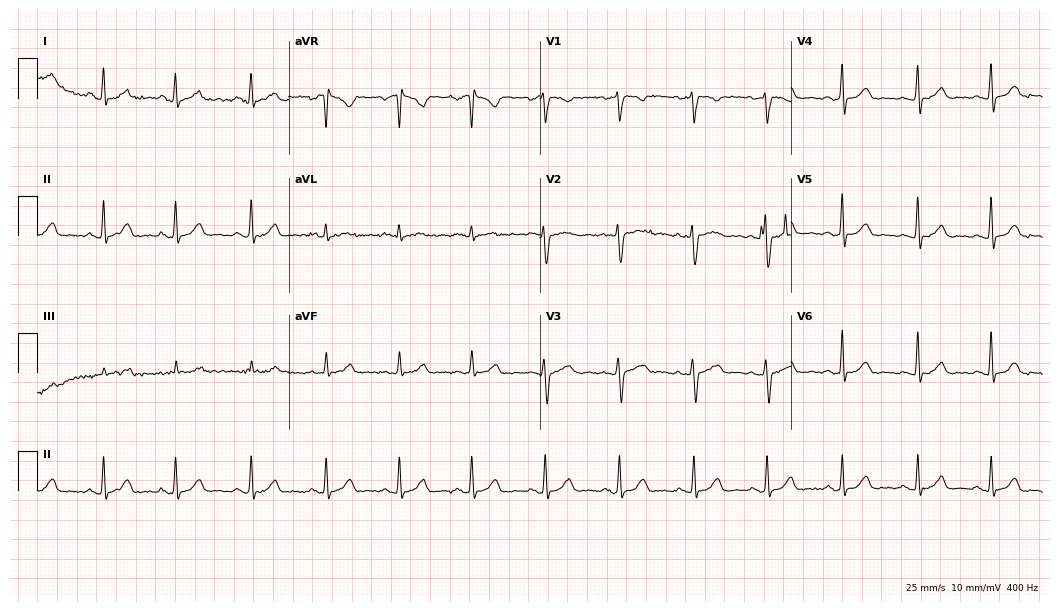
Standard 12-lead ECG recorded from a 25-year-old woman. None of these six findings is recorded: first-degree AV block, right bundle branch block, left bundle branch block, sinus bradycardia, atrial fibrillation, sinus tachycardia.